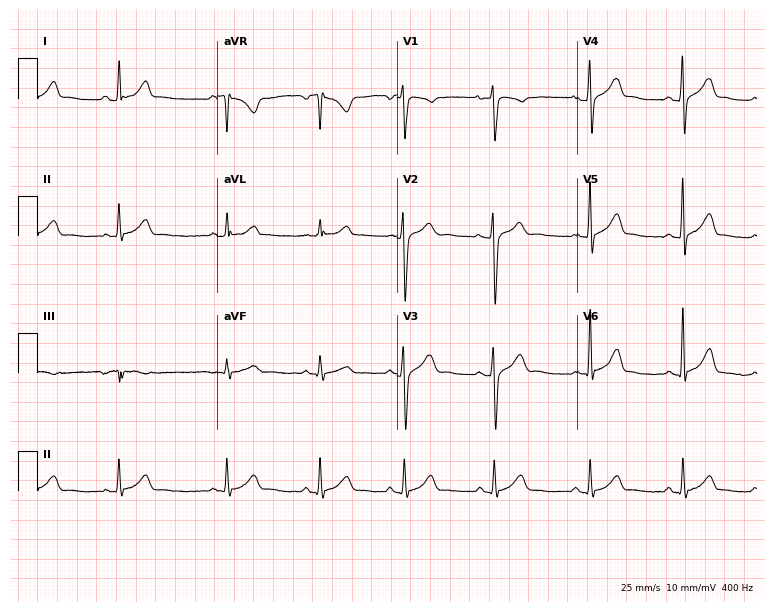
Standard 12-lead ECG recorded from a man, 25 years old (7.3-second recording at 400 Hz). Read as a normal ECG.